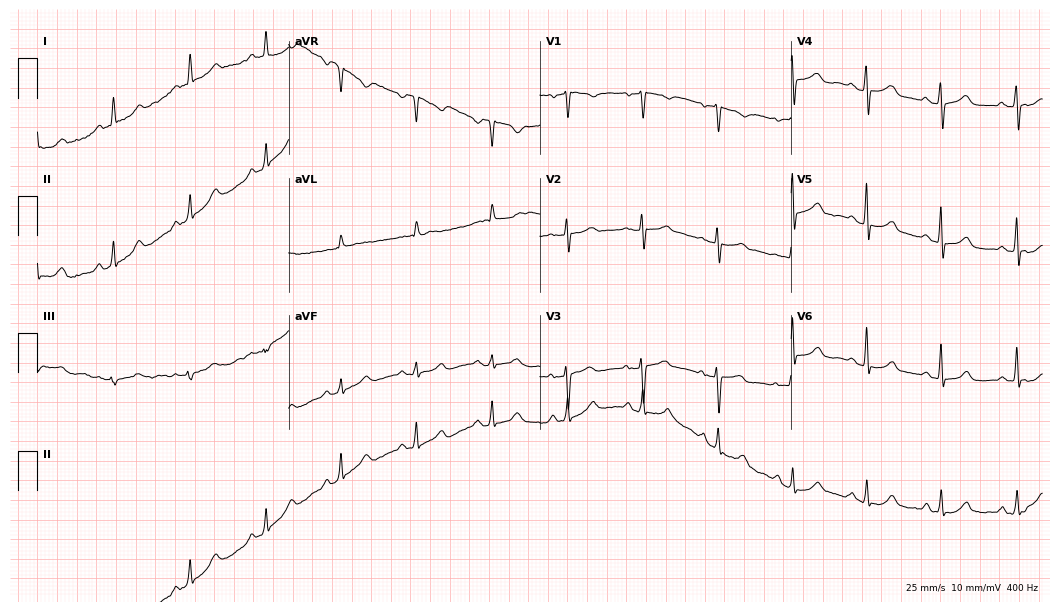
Standard 12-lead ECG recorded from a female, 58 years old (10.2-second recording at 400 Hz). Read as a normal ECG.